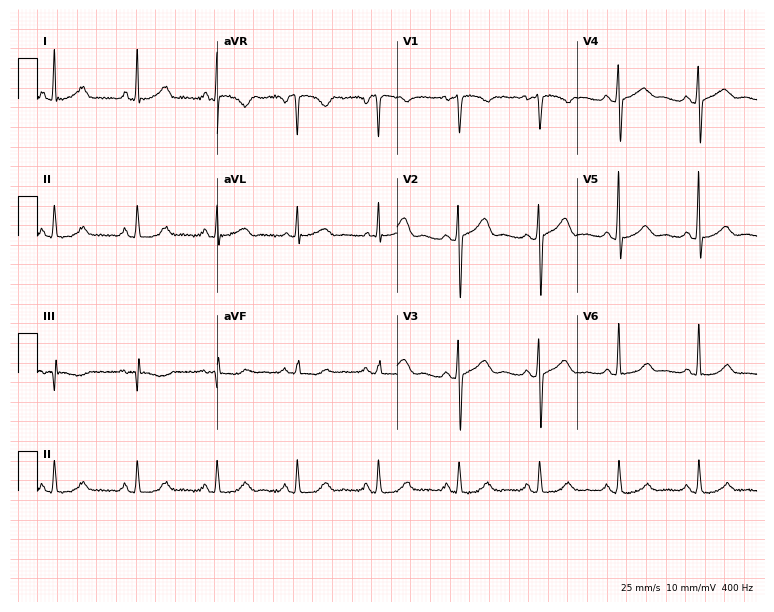
Standard 12-lead ECG recorded from a woman, 56 years old (7.3-second recording at 400 Hz). Read as a normal ECG.